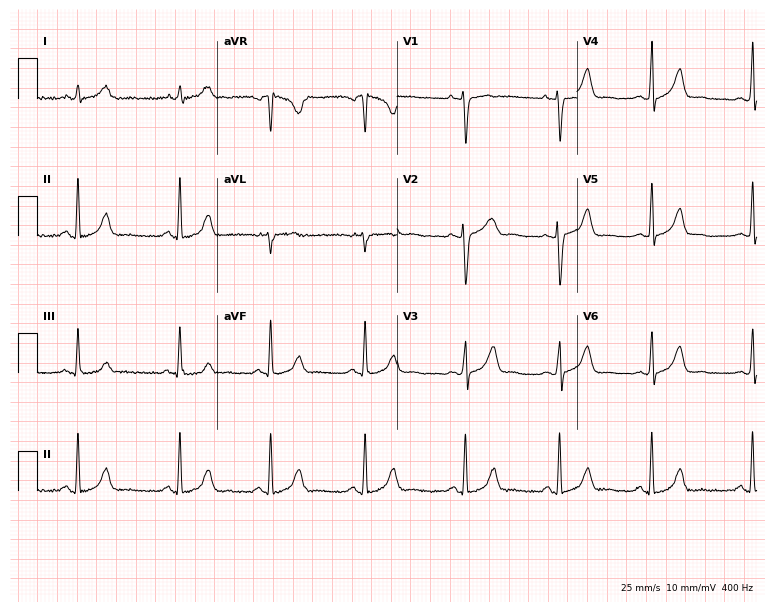
Standard 12-lead ECG recorded from a female, 31 years old (7.3-second recording at 400 Hz). None of these six findings is recorded: first-degree AV block, right bundle branch block, left bundle branch block, sinus bradycardia, atrial fibrillation, sinus tachycardia. Findings outside these six are not listed.